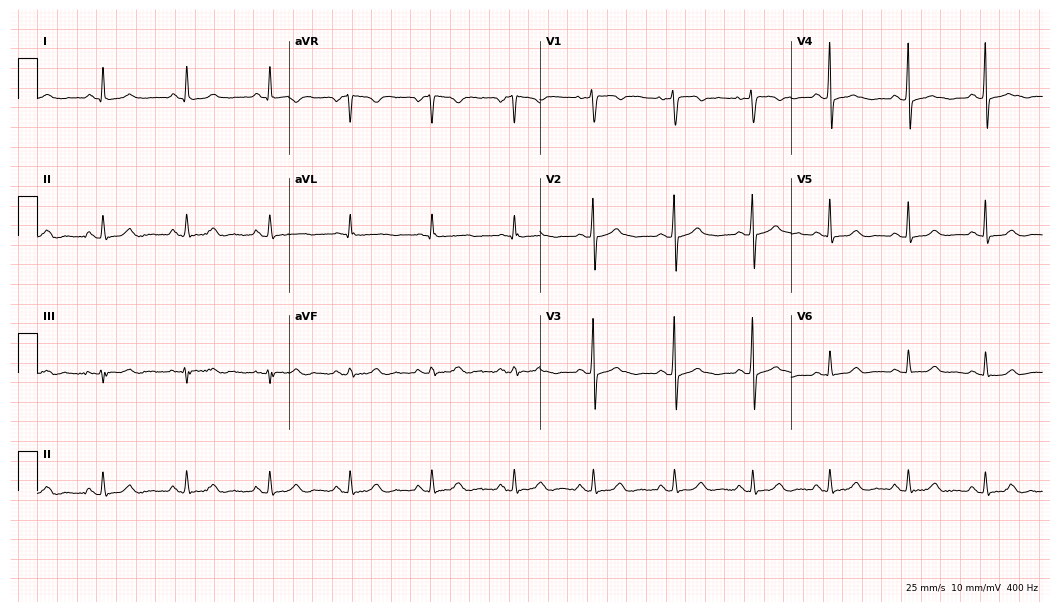
ECG — a 46-year-old woman. Screened for six findings — first-degree AV block, right bundle branch block (RBBB), left bundle branch block (LBBB), sinus bradycardia, atrial fibrillation (AF), sinus tachycardia — none is recorded. Findings outside these six are not listed.